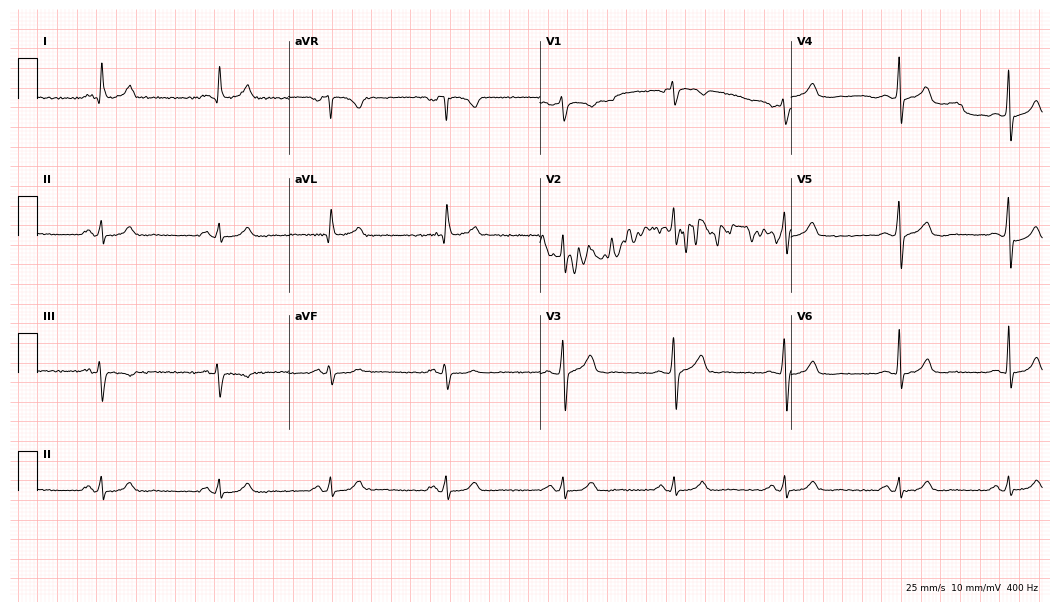
Electrocardiogram (10.2-second recording at 400 Hz), a male patient, 51 years old. Overall reading on record: normal ECG.